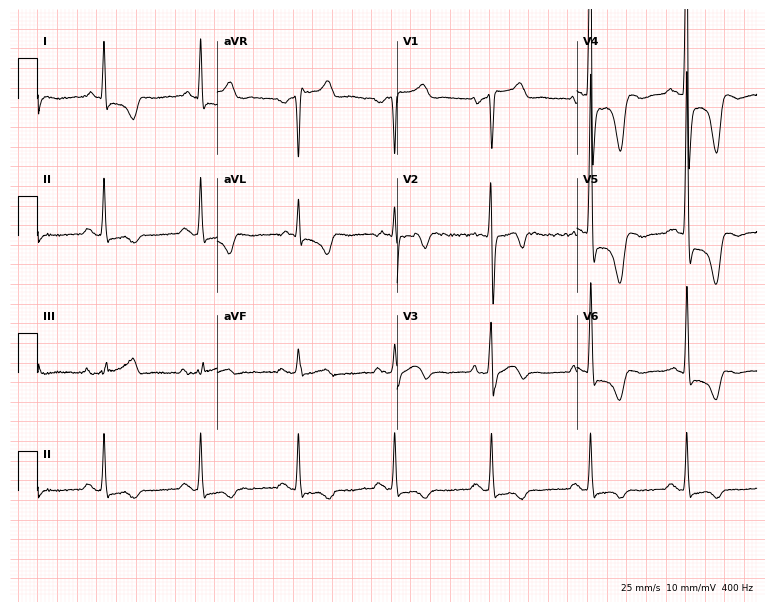
Electrocardiogram (7.3-second recording at 400 Hz), a male, 71 years old. Of the six screened findings (first-degree AV block, right bundle branch block, left bundle branch block, sinus bradycardia, atrial fibrillation, sinus tachycardia), none is recorded.